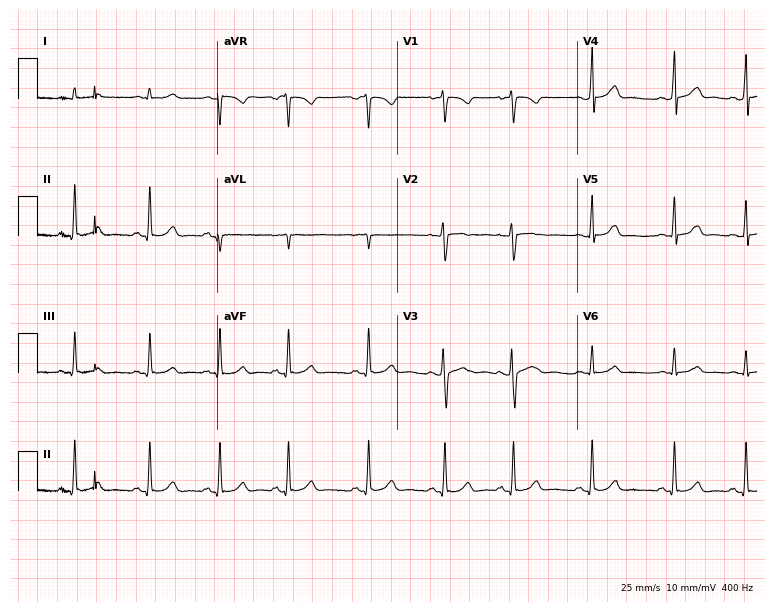
Standard 12-lead ECG recorded from a woman, 18 years old (7.3-second recording at 400 Hz). Read as a normal ECG.